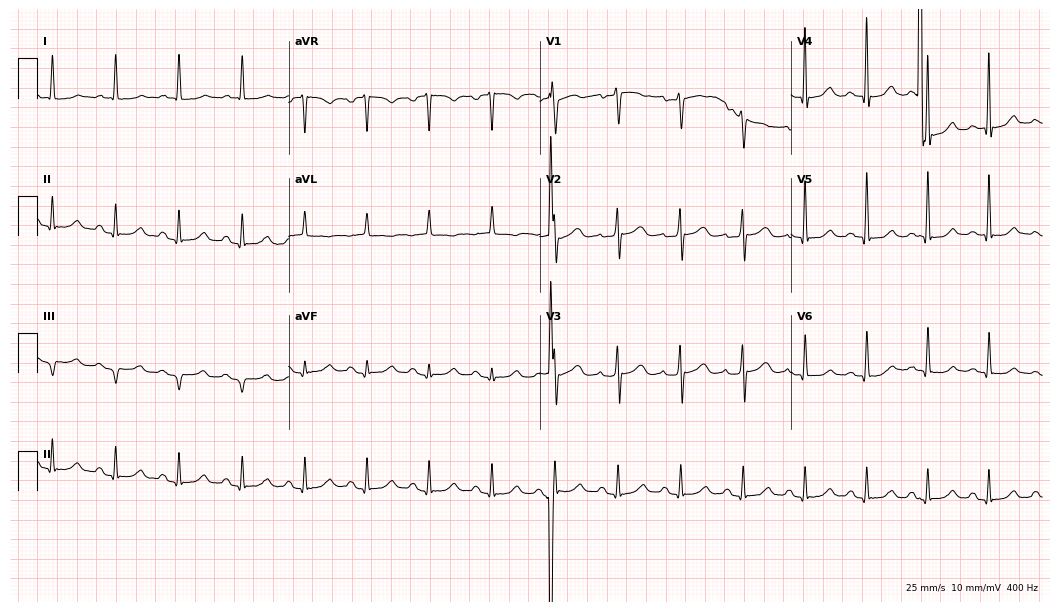
Standard 12-lead ECG recorded from a female, 61 years old. Read as a normal ECG.